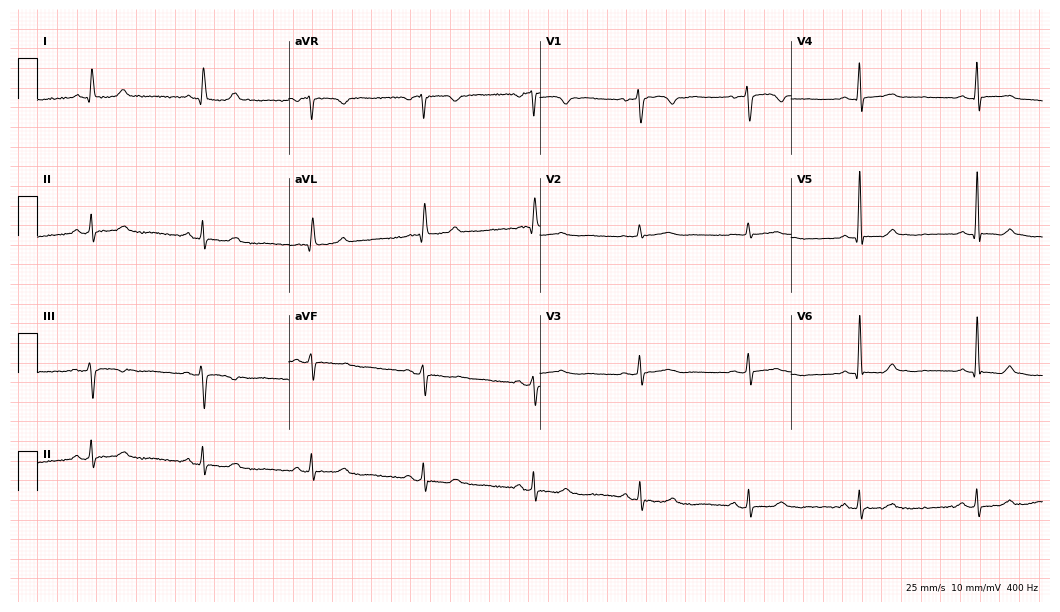
Standard 12-lead ECG recorded from a woman, 51 years old (10.2-second recording at 400 Hz). None of these six findings is recorded: first-degree AV block, right bundle branch block, left bundle branch block, sinus bradycardia, atrial fibrillation, sinus tachycardia. Findings outside these six are not listed.